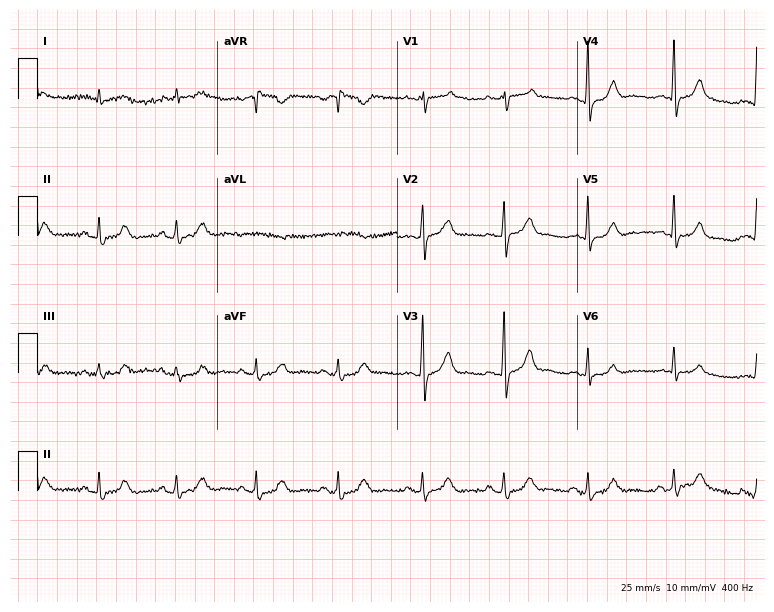
12-lead ECG from a 65-year-old male patient (7.3-second recording at 400 Hz). No first-degree AV block, right bundle branch block, left bundle branch block, sinus bradycardia, atrial fibrillation or sinus tachycardia recorded for this tracing. Only these six findings were labelled.